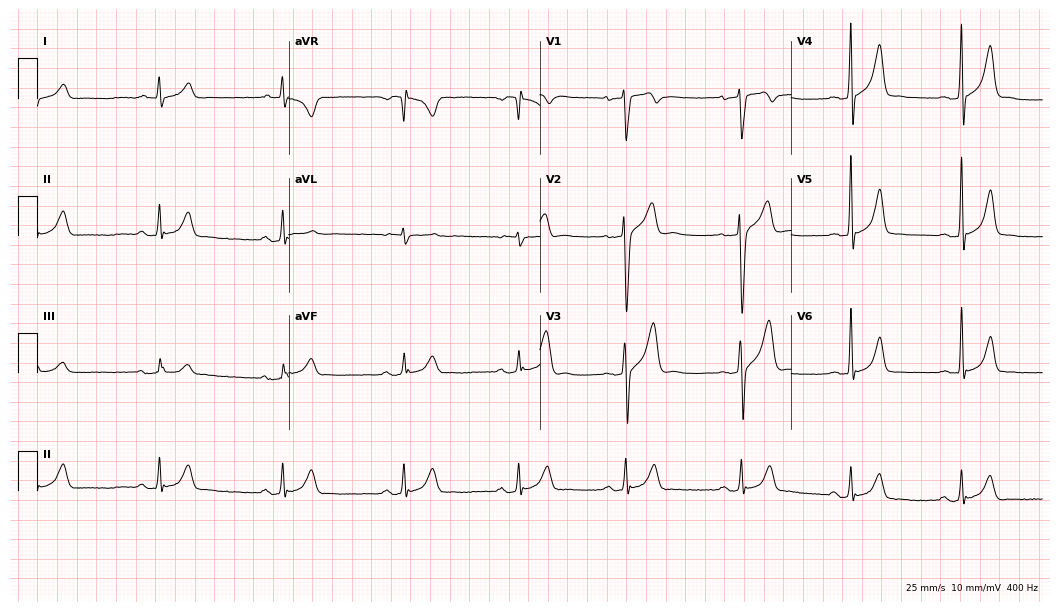
12-lead ECG from a 32-year-old male patient (10.2-second recording at 400 Hz). Recorded interpretation: within normal limits.